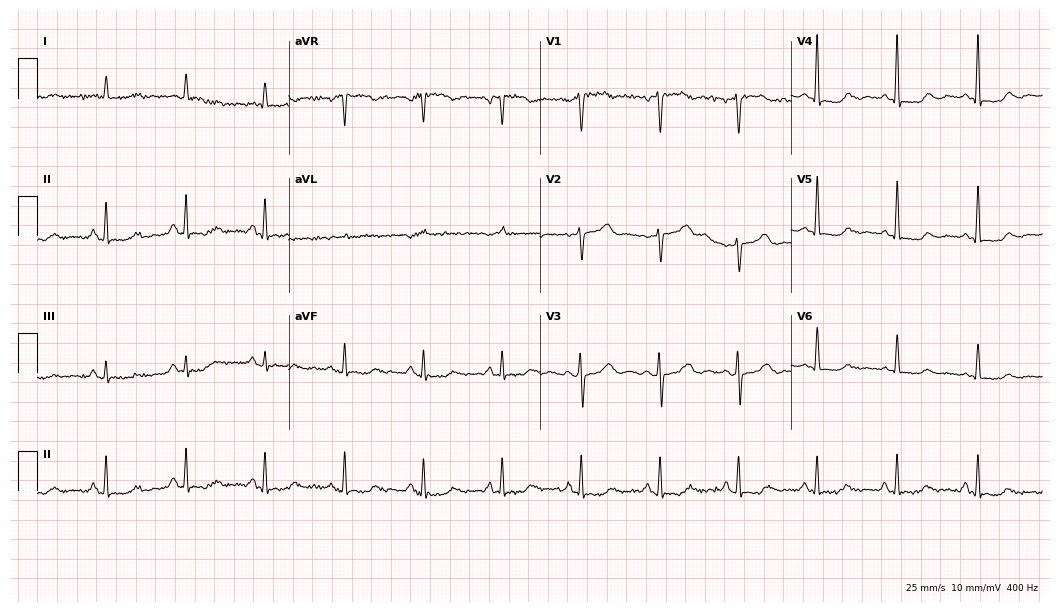
Resting 12-lead electrocardiogram (10.2-second recording at 400 Hz). Patient: a 66-year-old female. None of these six findings is recorded: first-degree AV block, right bundle branch block, left bundle branch block, sinus bradycardia, atrial fibrillation, sinus tachycardia.